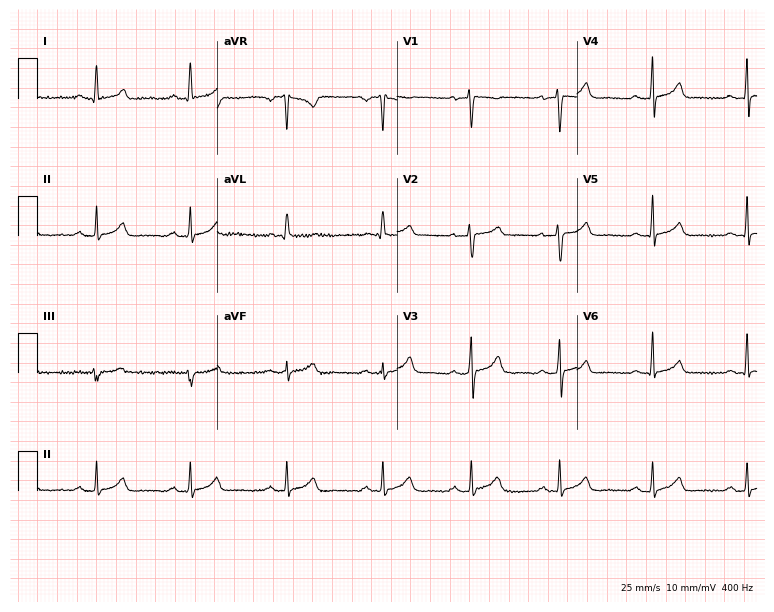
Standard 12-lead ECG recorded from a 49-year-old woman (7.3-second recording at 400 Hz). Read as a normal ECG.